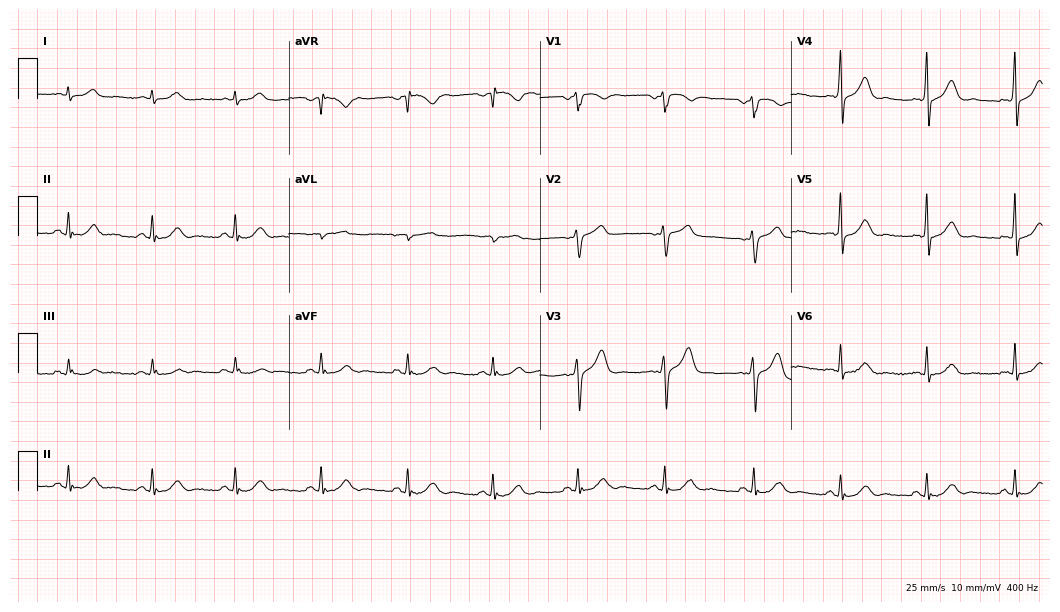
12-lead ECG from a male, 54 years old (10.2-second recording at 400 Hz). Recorded interpretation: within normal limits.